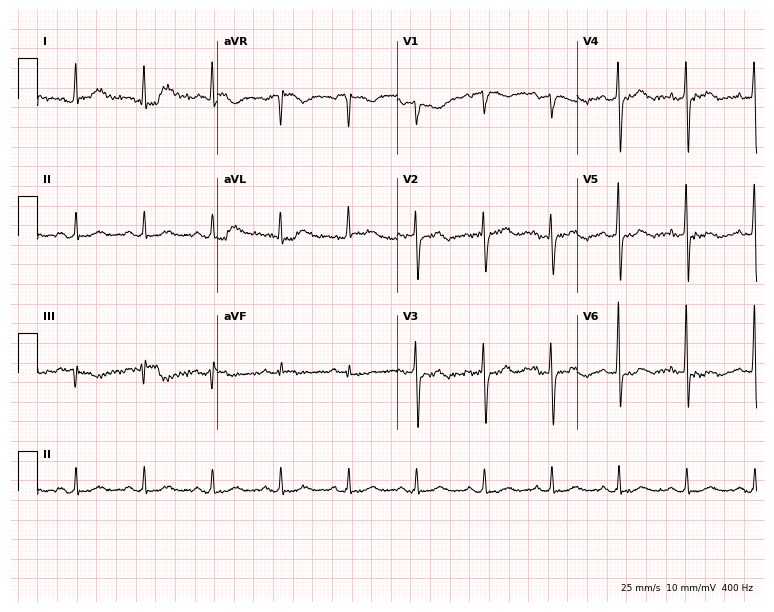
12-lead ECG from a 77-year-old man (7.3-second recording at 400 Hz). No first-degree AV block, right bundle branch block (RBBB), left bundle branch block (LBBB), sinus bradycardia, atrial fibrillation (AF) or sinus tachycardia recorded for this tracing. Only these six findings were labelled.